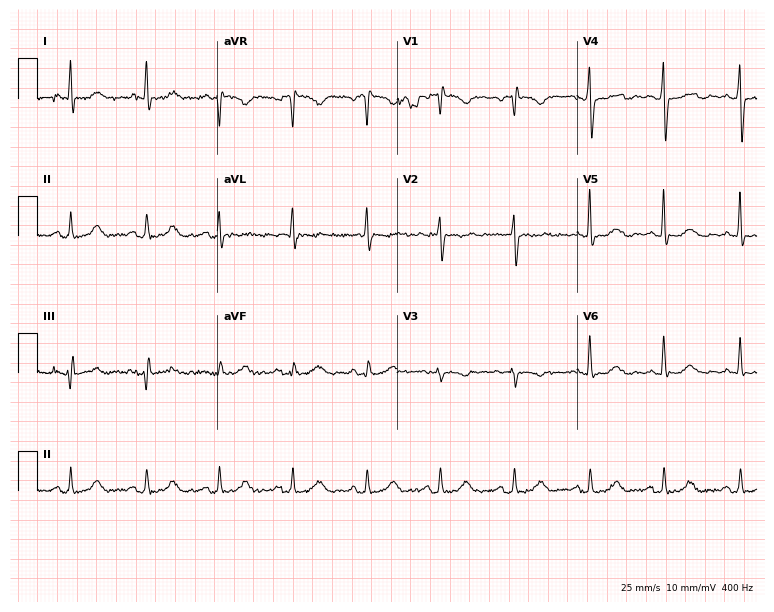
Standard 12-lead ECG recorded from a 72-year-old female patient (7.3-second recording at 400 Hz). None of these six findings is recorded: first-degree AV block, right bundle branch block, left bundle branch block, sinus bradycardia, atrial fibrillation, sinus tachycardia.